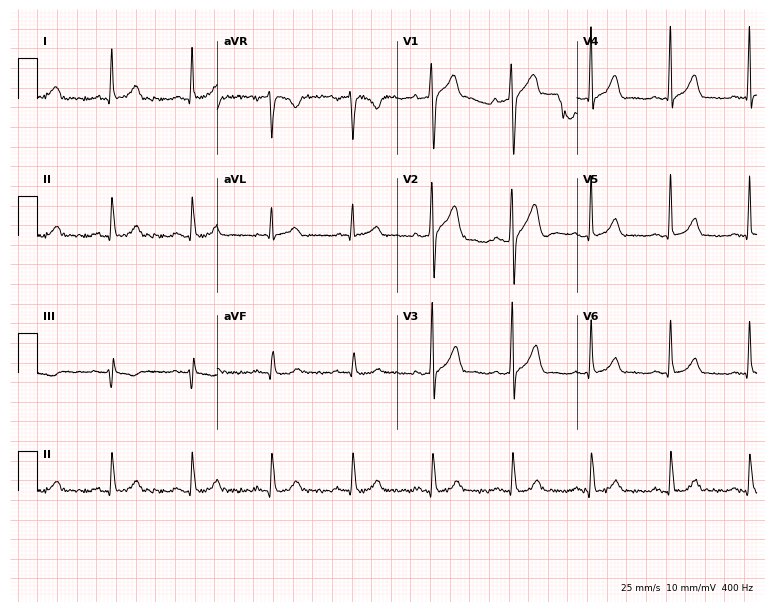
ECG — a male patient, 40 years old. Labelled as a normal ECG.